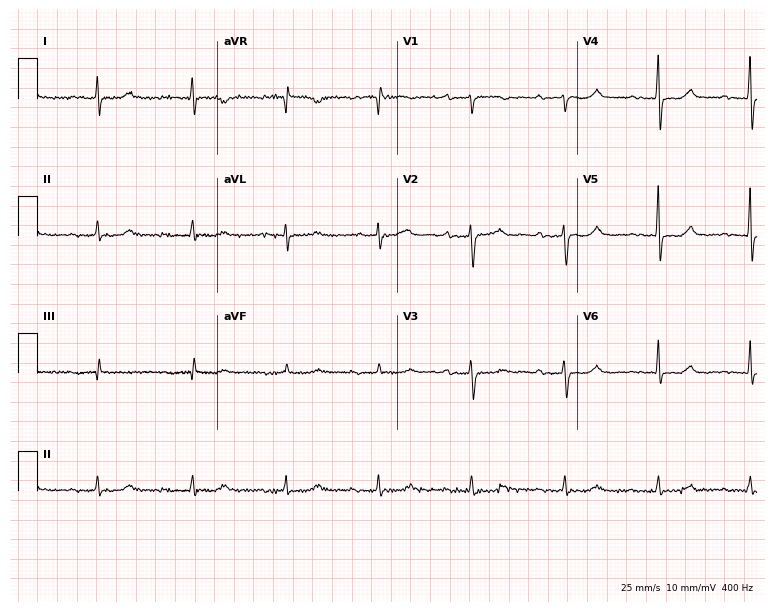
12-lead ECG from a female, 76 years old. Recorded interpretation: within normal limits.